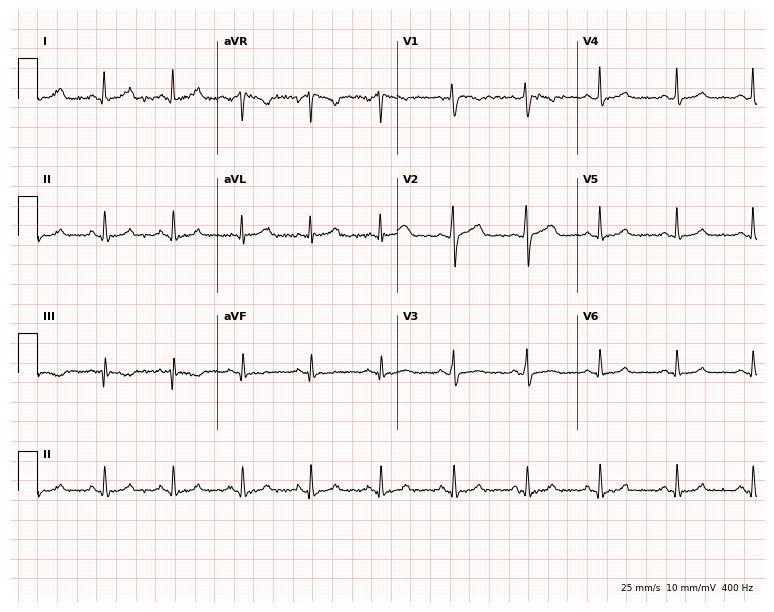
Standard 12-lead ECG recorded from a female patient, 45 years old (7.3-second recording at 400 Hz). None of these six findings is recorded: first-degree AV block, right bundle branch block, left bundle branch block, sinus bradycardia, atrial fibrillation, sinus tachycardia.